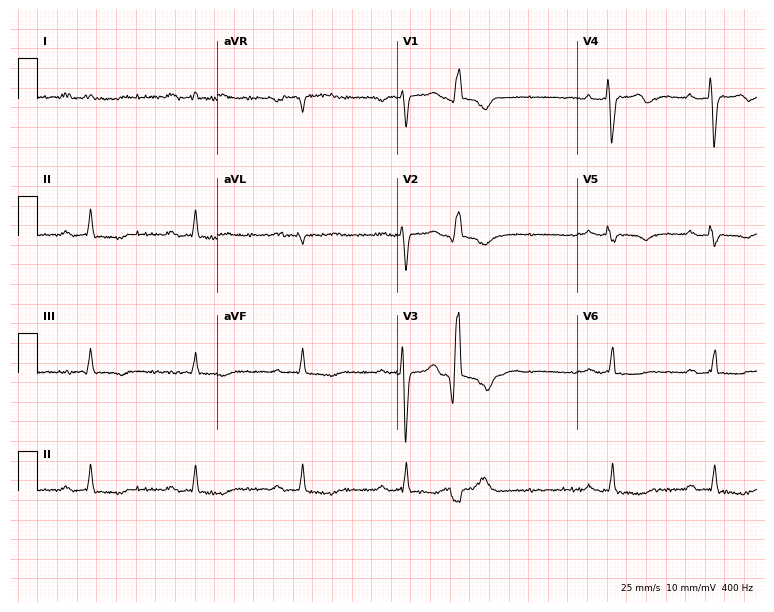
ECG — a man, 62 years old. Screened for six findings — first-degree AV block, right bundle branch block, left bundle branch block, sinus bradycardia, atrial fibrillation, sinus tachycardia — none is recorded.